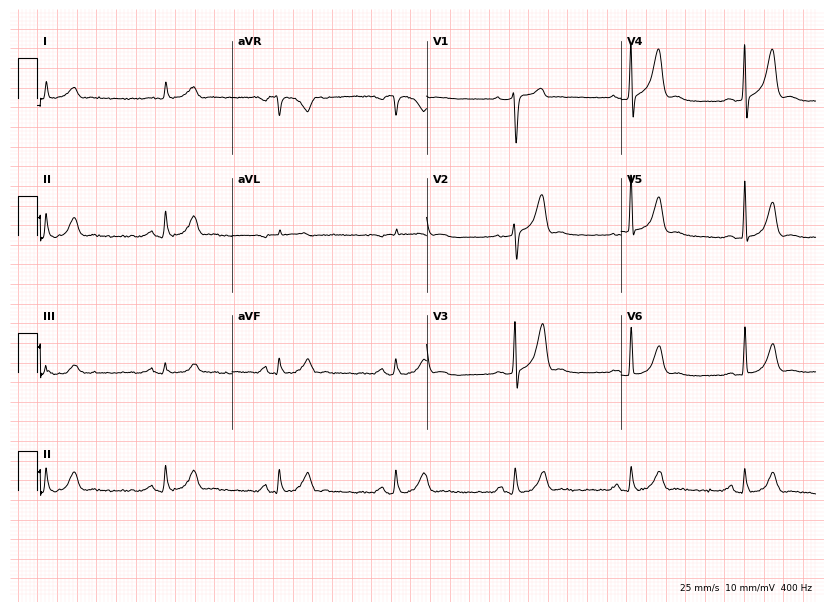
ECG (7.9-second recording at 400 Hz) — a 67-year-old man. Screened for six findings — first-degree AV block, right bundle branch block (RBBB), left bundle branch block (LBBB), sinus bradycardia, atrial fibrillation (AF), sinus tachycardia — none is recorded.